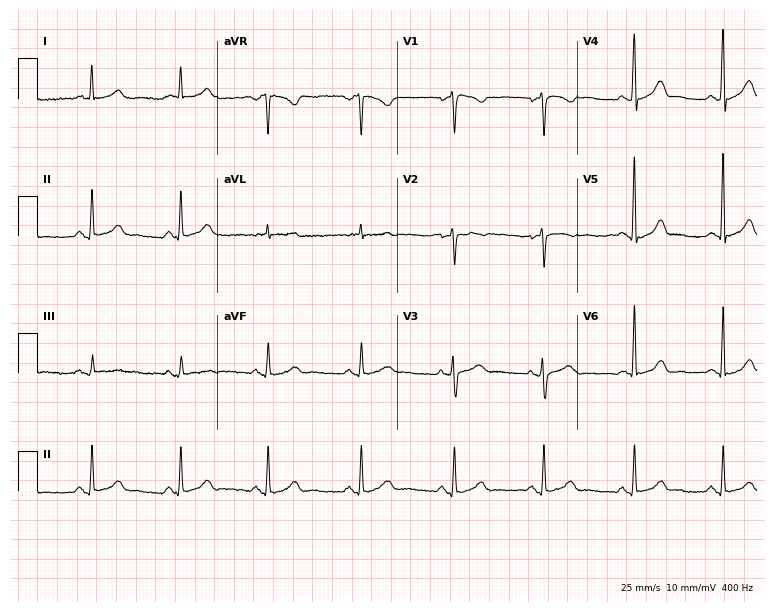
ECG (7.3-second recording at 400 Hz) — a female patient, 44 years old. Labelled as a normal ECG.